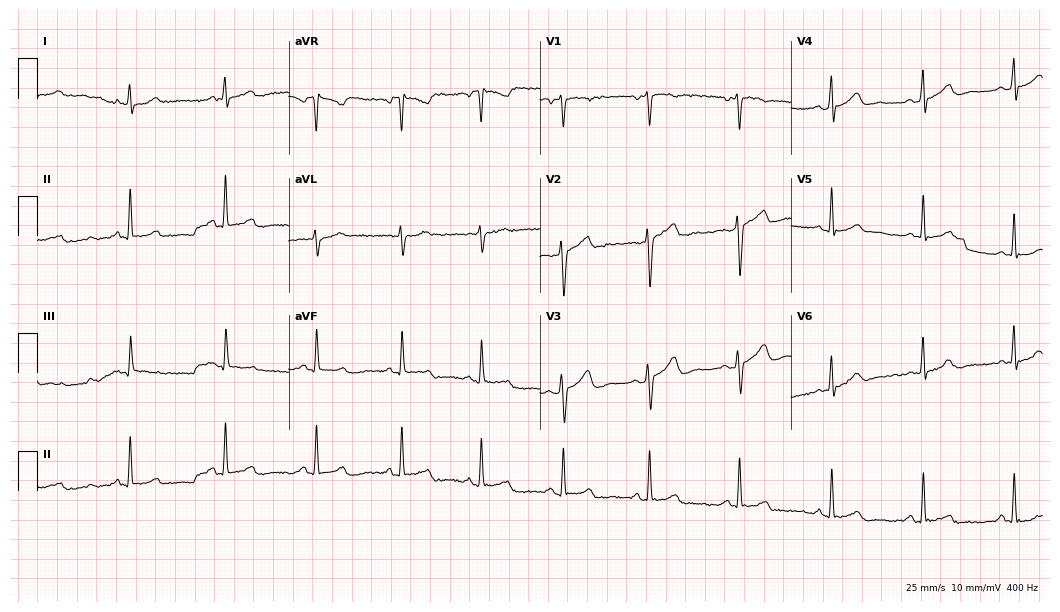
12-lead ECG from a woman, 44 years old (10.2-second recording at 400 Hz). No first-degree AV block, right bundle branch block, left bundle branch block, sinus bradycardia, atrial fibrillation or sinus tachycardia recorded for this tracing.